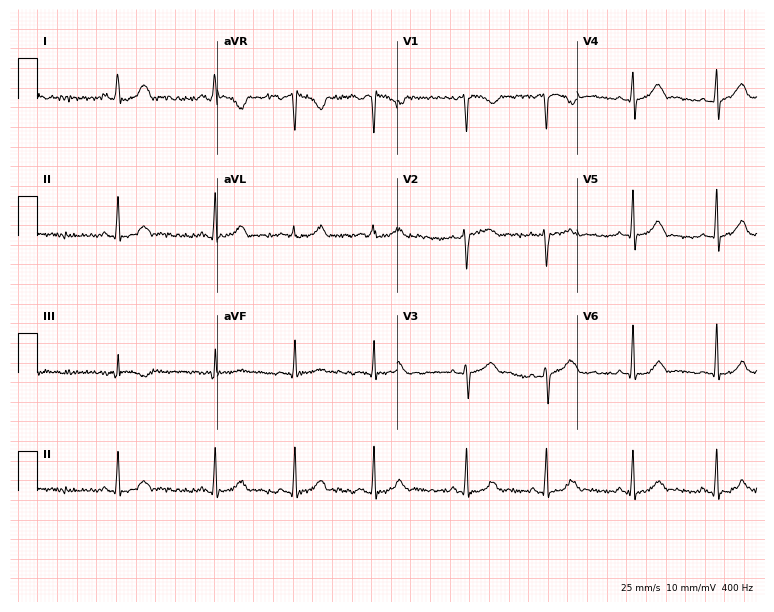
Resting 12-lead electrocardiogram. Patient: a female, 29 years old. Read as a normal ECG.